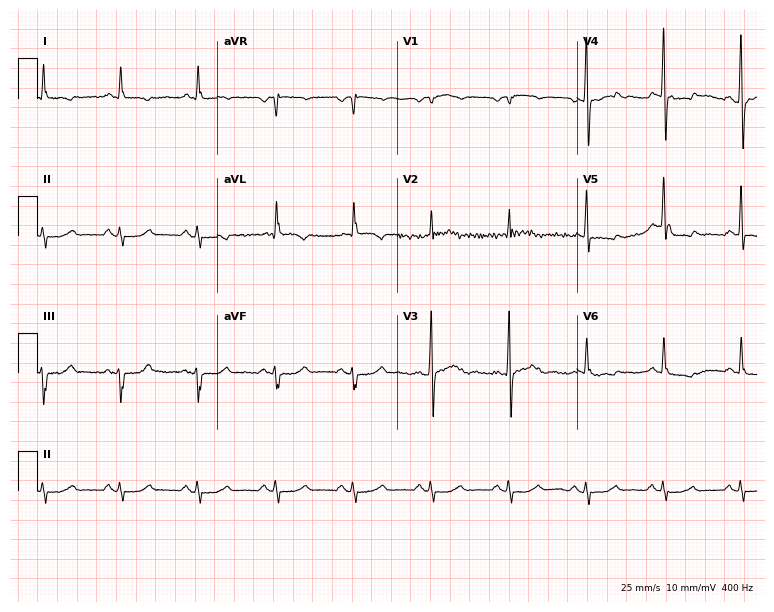
ECG — a 78-year-old man. Screened for six findings — first-degree AV block, right bundle branch block (RBBB), left bundle branch block (LBBB), sinus bradycardia, atrial fibrillation (AF), sinus tachycardia — none is recorded.